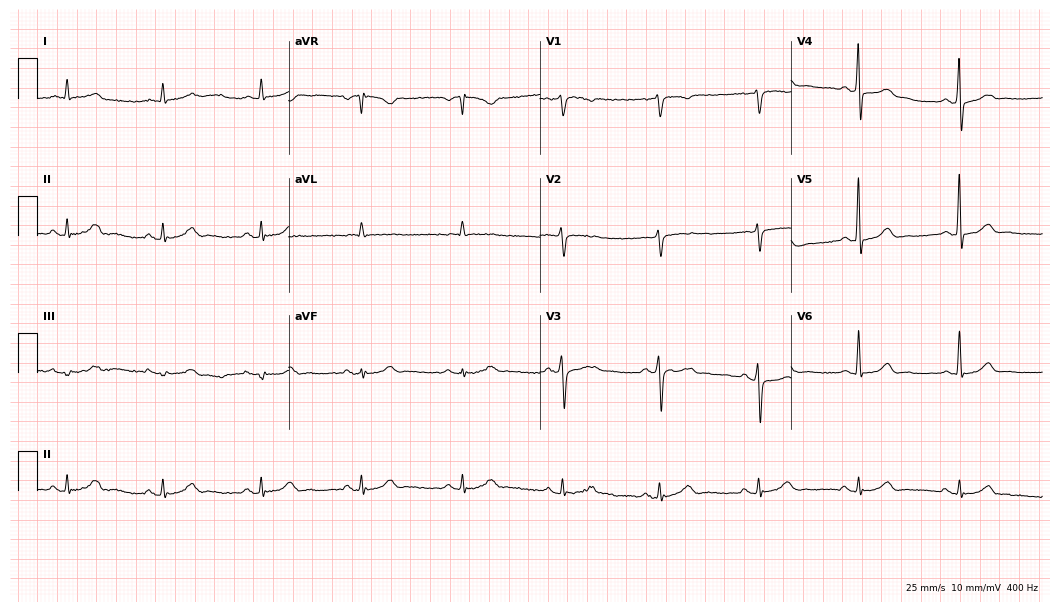
12-lead ECG (10.2-second recording at 400 Hz) from an 80-year-old male. Labelled as a normal ECG.